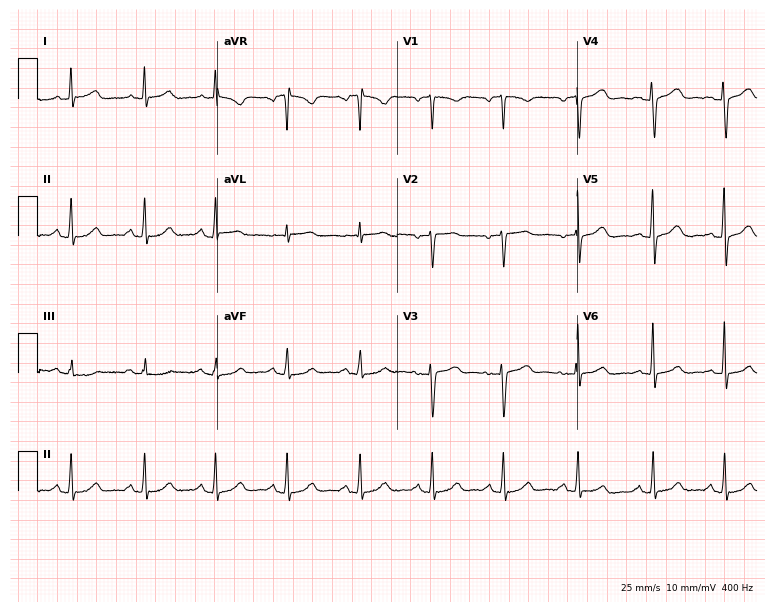
12-lead ECG from a 78-year-old woman. Labelled as a normal ECG.